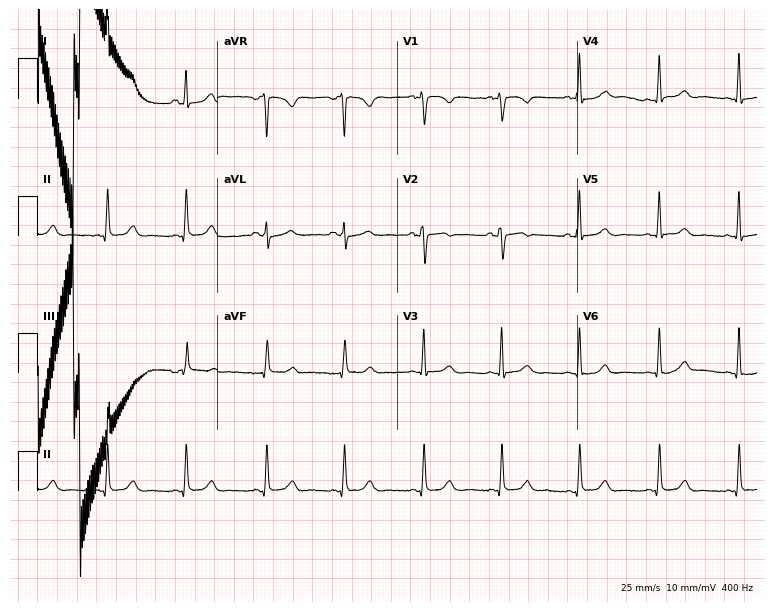
12-lead ECG from a 43-year-old female patient. No first-degree AV block, right bundle branch block, left bundle branch block, sinus bradycardia, atrial fibrillation or sinus tachycardia recorded for this tracing. Only these six findings were labelled.